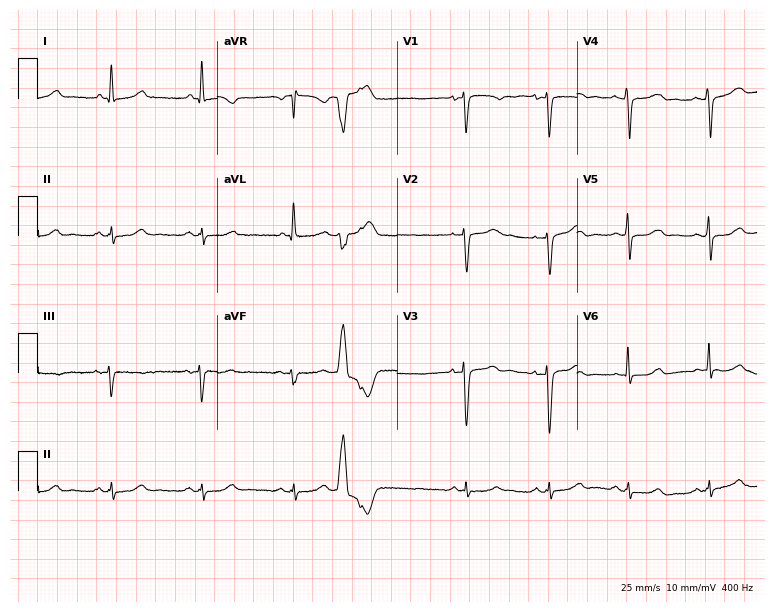
Electrocardiogram, a female, 32 years old. Of the six screened findings (first-degree AV block, right bundle branch block, left bundle branch block, sinus bradycardia, atrial fibrillation, sinus tachycardia), none is recorded.